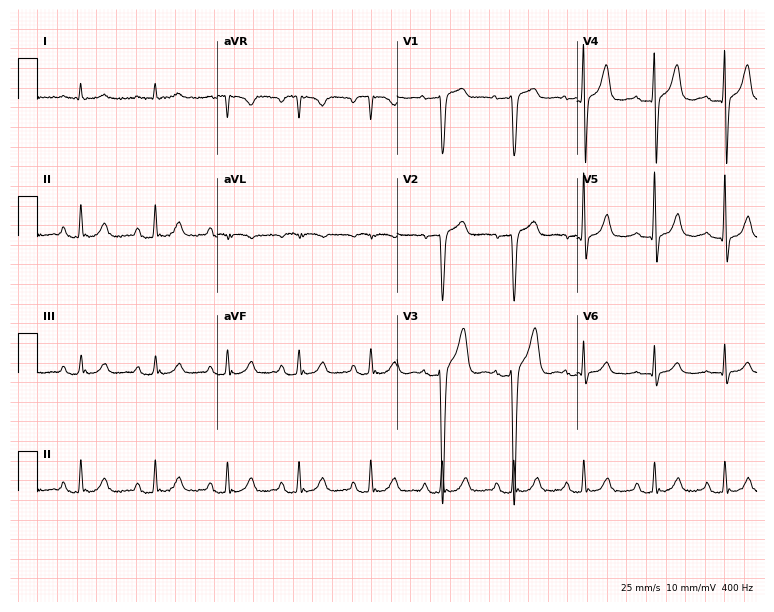
12-lead ECG from a 56-year-old female (7.3-second recording at 400 Hz). Shows first-degree AV block.